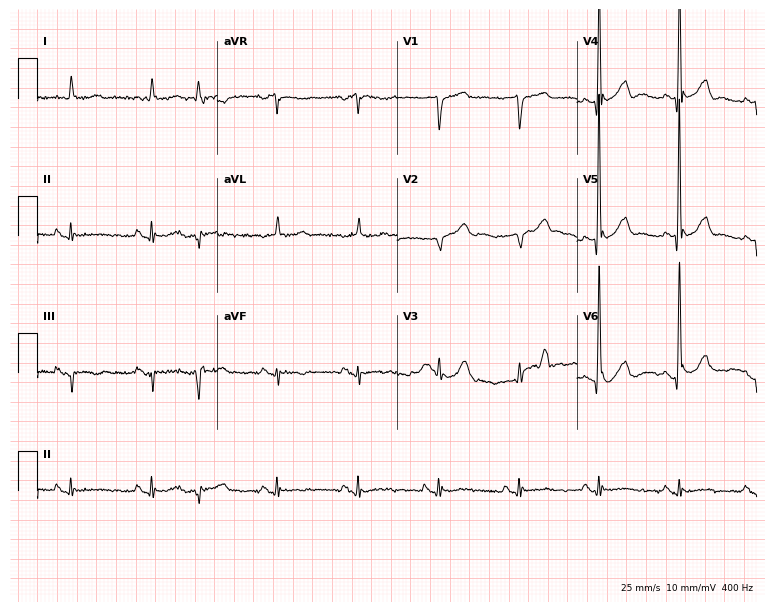
12-lead ECG from a male, 81 years old. No first-degree AV block, right bundle branch block (RBBB), left bundle branch block (LBBB), sinus bradycardia, atrial fibrillation (AF) or sinus tachycardia recorded for this tracing.